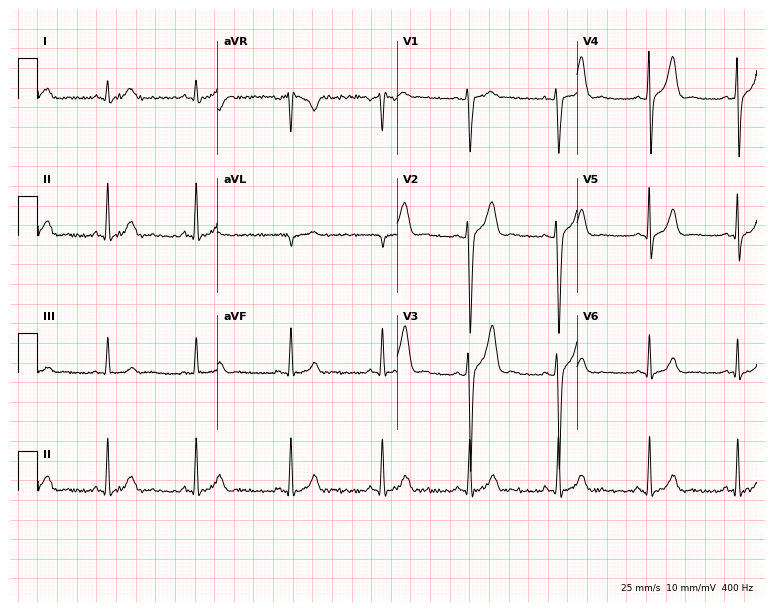
12-lead ECG from a male patient, 23 years old (7.3-second recording at 400 Hz). No first-degree AV block, right bundle branch block (RBBB), left bundle branch block (LBBB), sinus bradycardia, atrial fibrillation (AF) or sinus tachycardia recorded for this tracing.